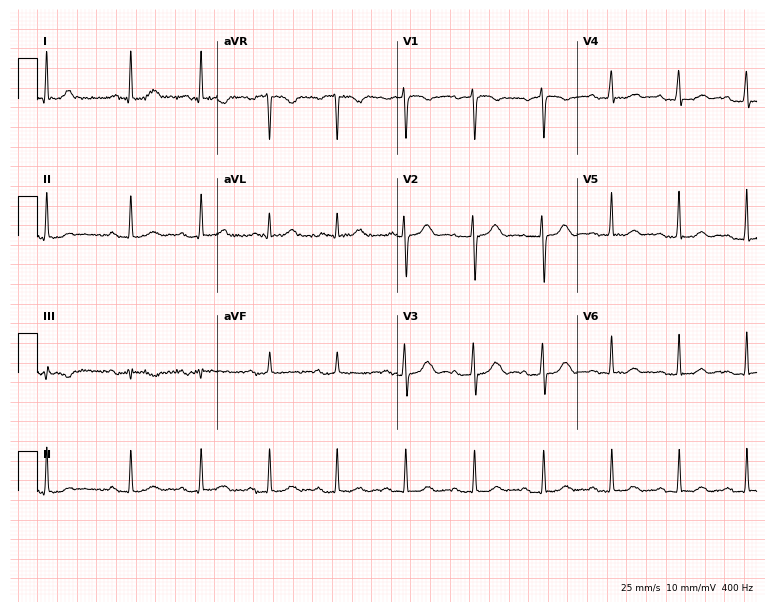
Standard 12-lead ECG recorded from a 71-year-old female patient (7.3-second recording at 400 Hz). None of these six findings is recorded: first-degree AV block, right bundle branch block, left bundle branch block, sinus bradycardia, atrial fibrillation, sinus tachycardia.